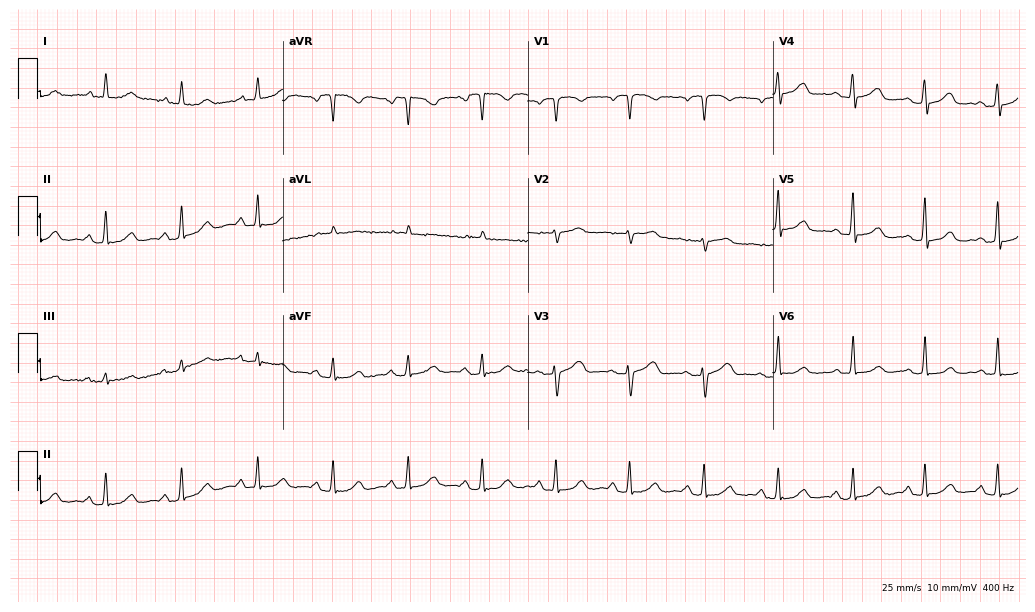
Standard 12-lead ECG recorded from a 52-year-old woman. None of these six findings is recorded: first-degree AV block, right bundle branch block (RBBB), left bundle branch block (LBBB), sinus bradycardia, atrial fibrillation (AF), sinus tachycardia. Only these six findings were labelled.